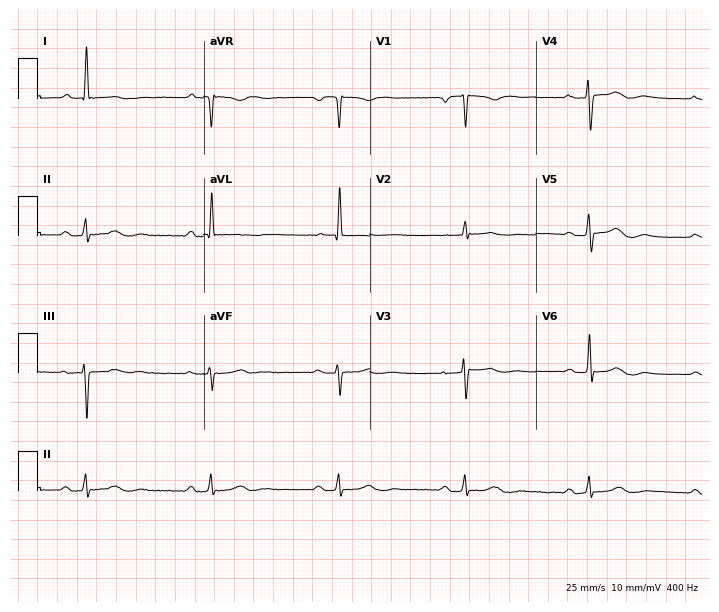
Standard 12-lead ECG recorded from a female, 82 years old. None of these six findings is recorded: first-degree AV block, right bundle branch block, left bundle branch block, sinus bradycardia, atrial fibrillation, sinus tachycardia.